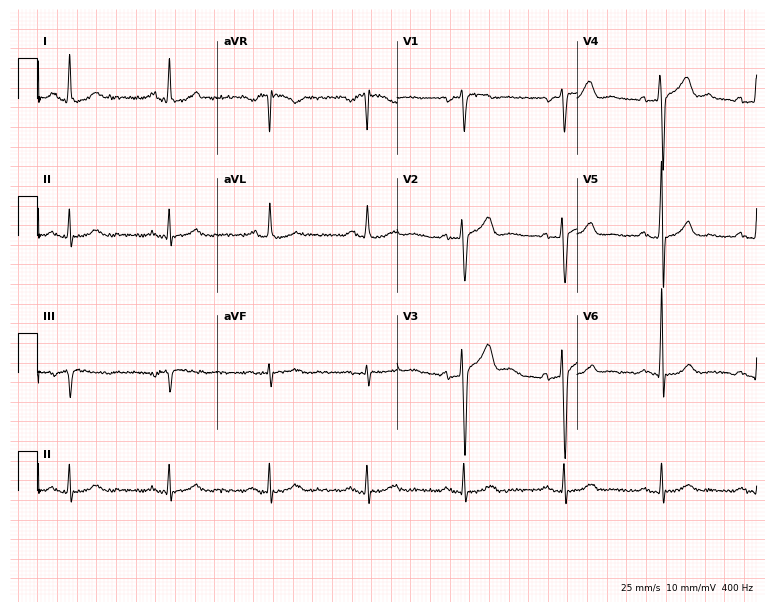
Resting 12-lead electrocardiogram (7.3-second recording at 400 Hz). Patient: a 46-year-old male. The tracing shows first-degree AV block.